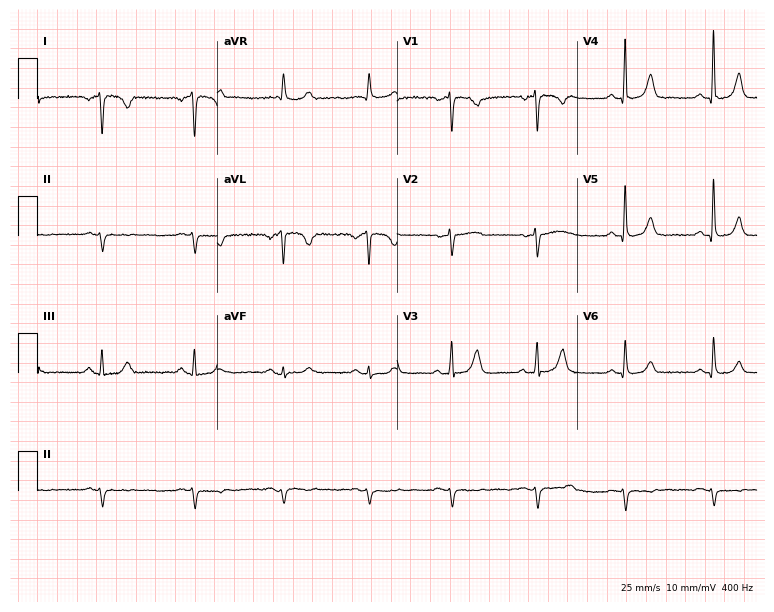
Standard 12-lead ECG recorded from a 73-year-old woman. None of these six findings is recorded: first-degree AV block, right bundle branch block, left bundle branch block, sinus bradycardia, atrial fibrillation, sinus tachycardia. Other findings, if any, are not listed.